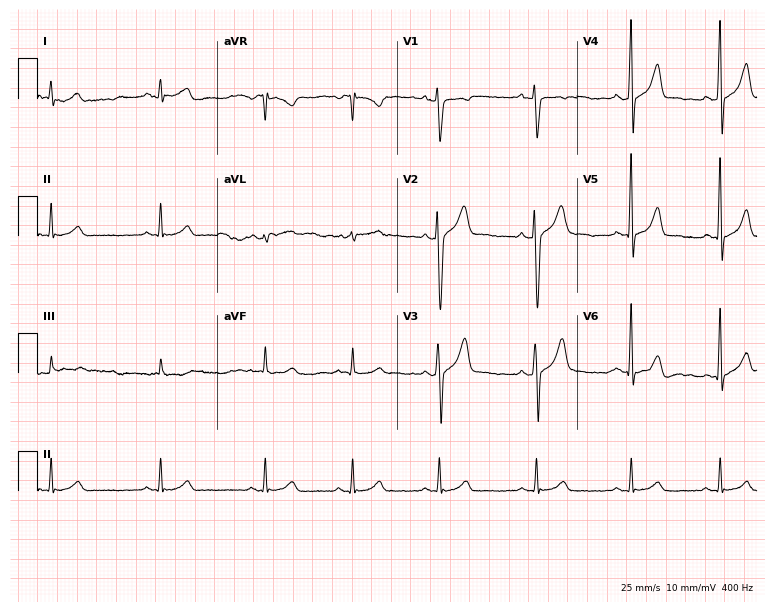
12-lead ECG from a 23-year-old man. Recorded interpretation: within normal limits.